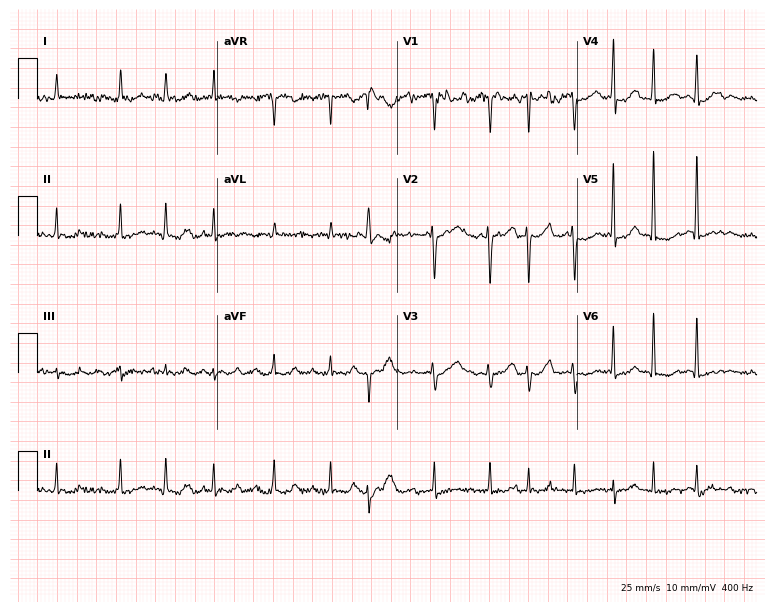
12-lead ECG from a 68-year-old female patient. No first-degree AV block, right bundle branch block (RBBB), left bundle branch block (LBBB), sinus bradycardia, atrial fibrillation (AF) or sinus tachycardia recorded for this tracing.